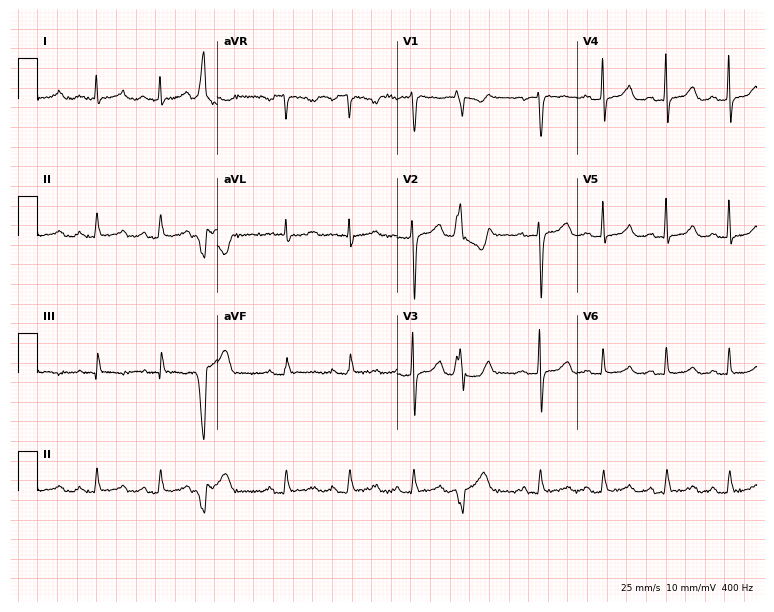
ECG (7.3-second recording at 400 Hz) — a 66-year-old female patient. Screened for six findings — first-degree AV block, right bundle branch block (RBBB), left bundle branch block (LBBB), sinus bradycardia, atrial fibrillation (AF), sinus tachycardia — none is recorded. Other findings, if any, are not listed.